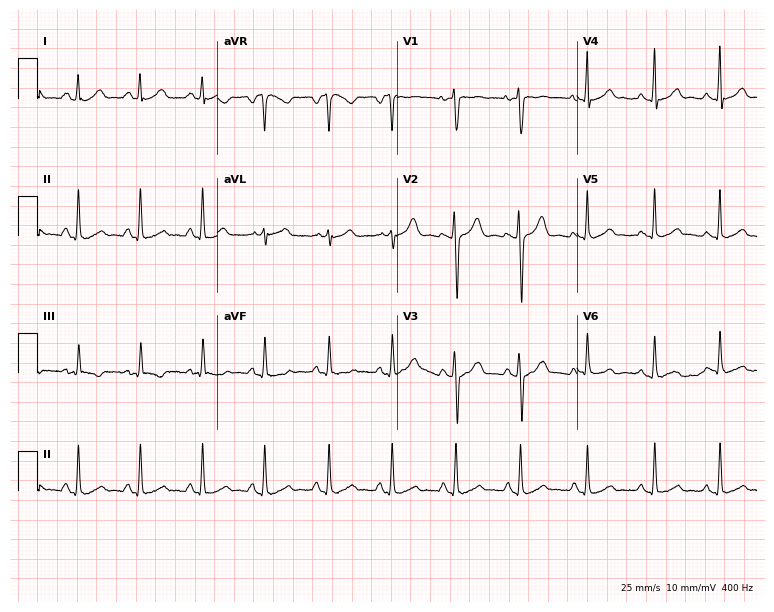
Electrocardiogram (7.3-second recording at 400 Hz), a 29-year-old female patient. Overall reading on record: normal ECG.